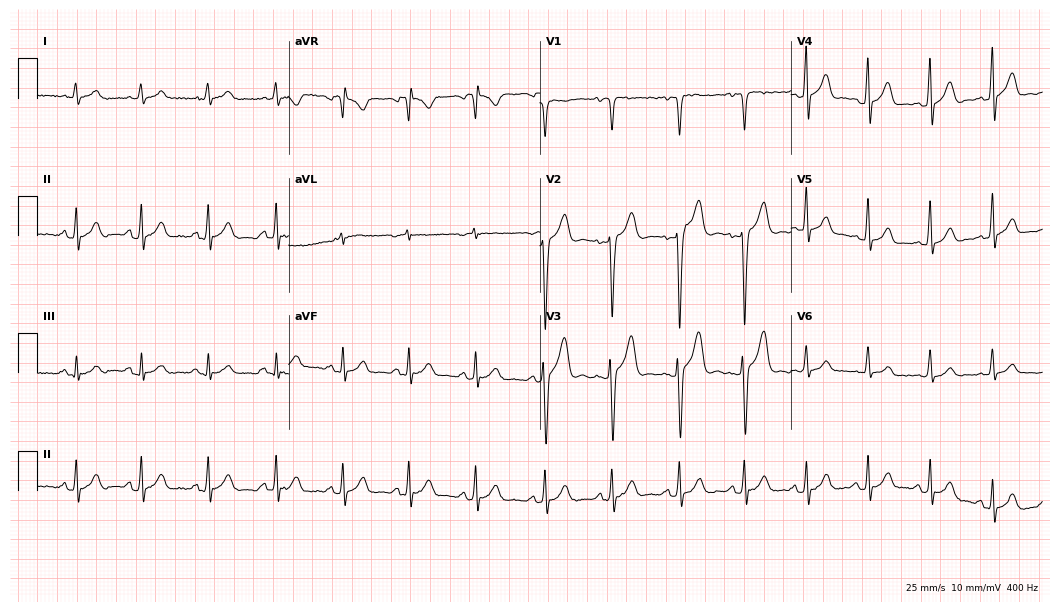
ECG (10.2-second recording at 400 Hz) — a 22-year-old male patient. Labelled as a normal ECG.